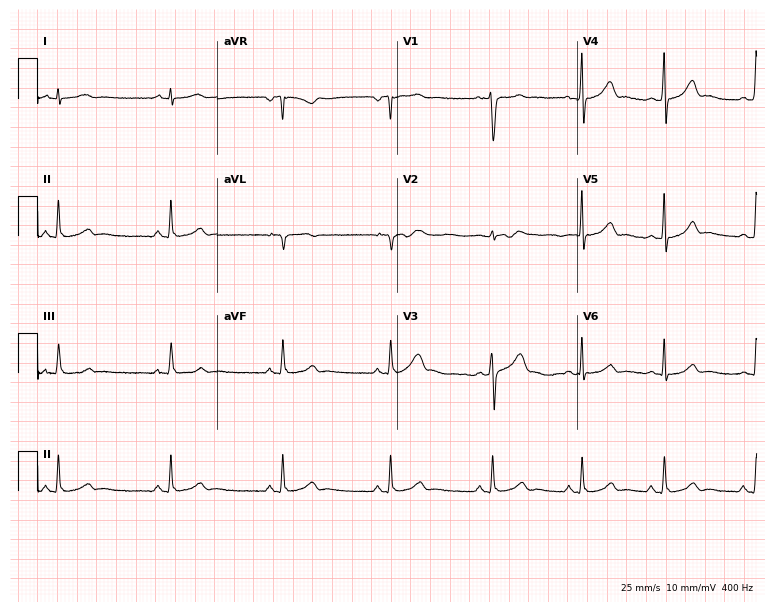
ECG — a male, 23 years old. Labelled as a normal ECG.